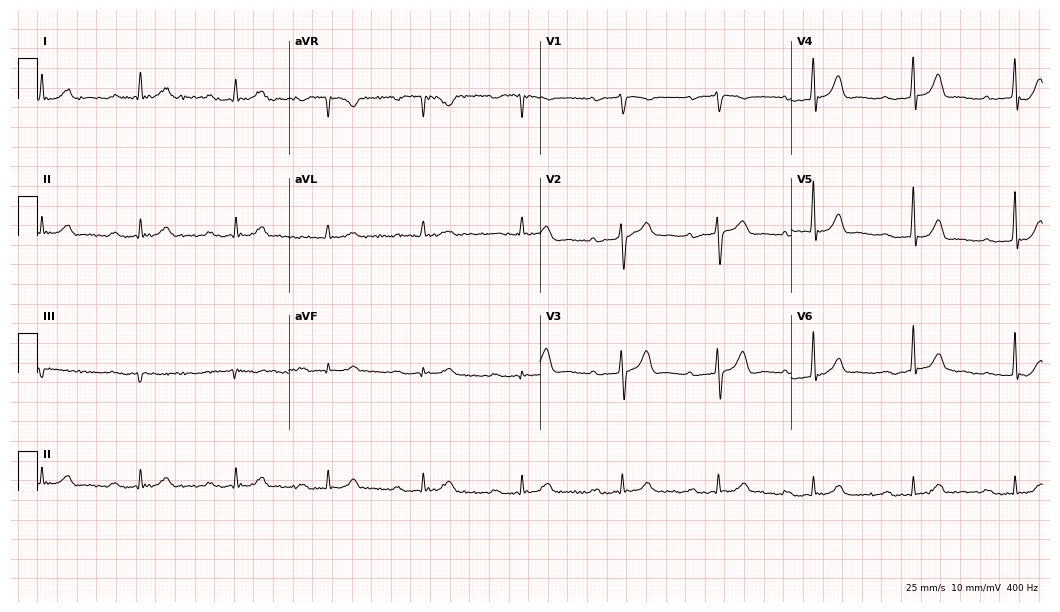
12-lead ECG from a 58-year-old male (10.2-second recording at 400 Hz). Shows first-degree AV block.